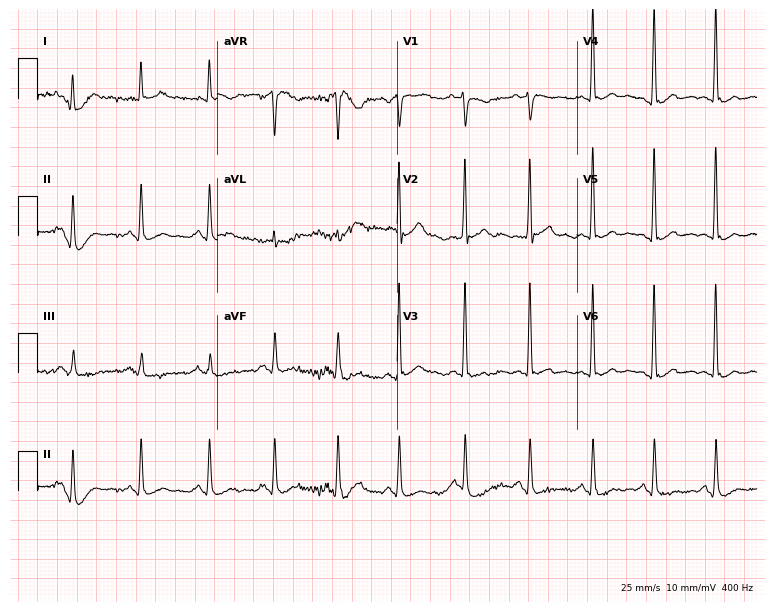
Resting 12-lead electrocardiogram. Patient: a male, 31 years old. Read as a normal ECG.